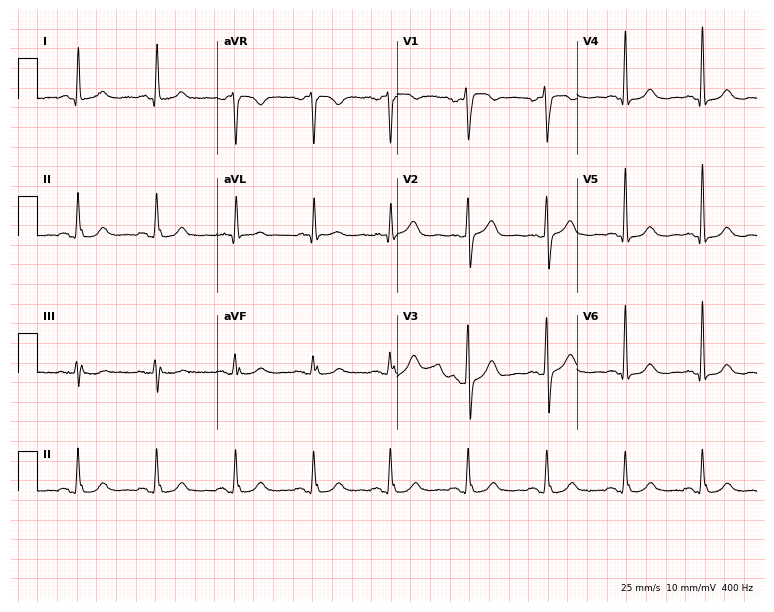
12-lead ECG from a 62-year-old female (7.3-second recording at 400 Hz). Recorded interpretation: within normal limits.